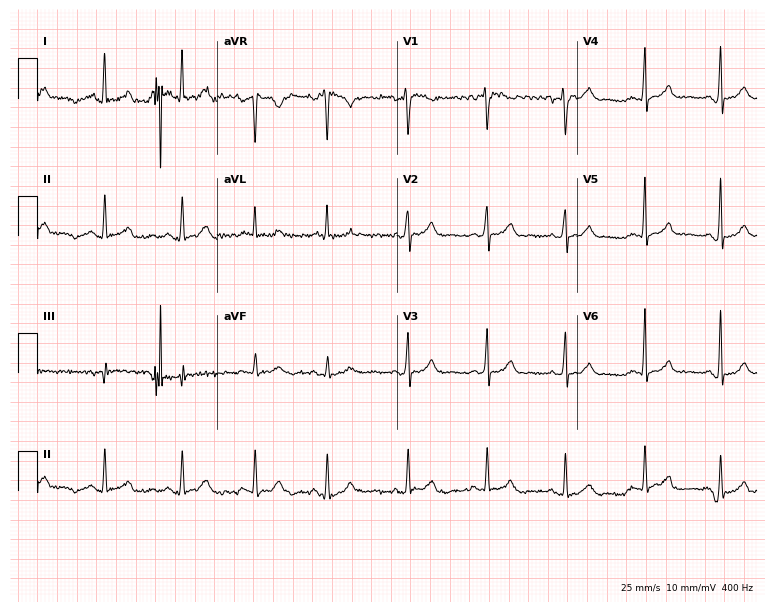
Standard 12-lead ECG recorded from a 35-year-old female patient. Read as a normal ECG.